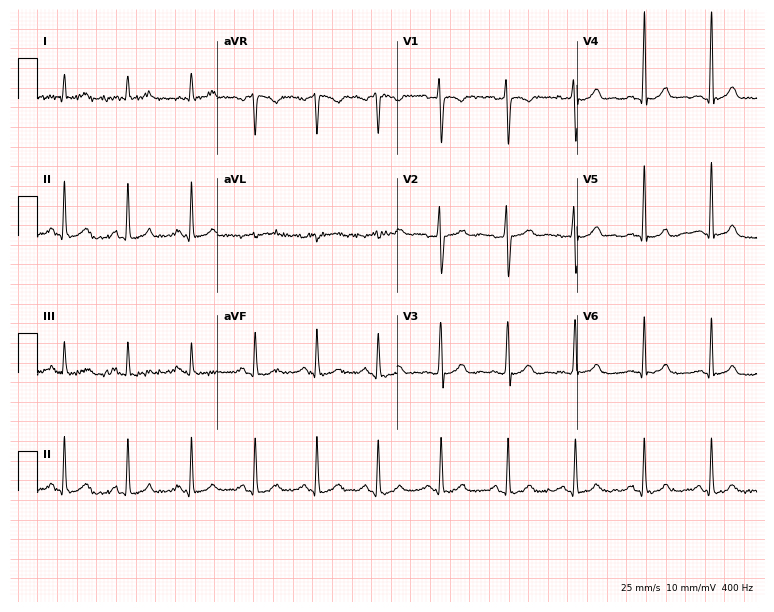
Resting 12-lead electrocardiogram (7.3-second recording at 400 Hz). Patient: a 22-year-old female. None of these six findings is recorded: first-degree AV block, right bundle branch block, left bundle branch block, sinus bradycardia, atrial fibrillation, sinus tachycardia. Other findings, if any, are not listed.